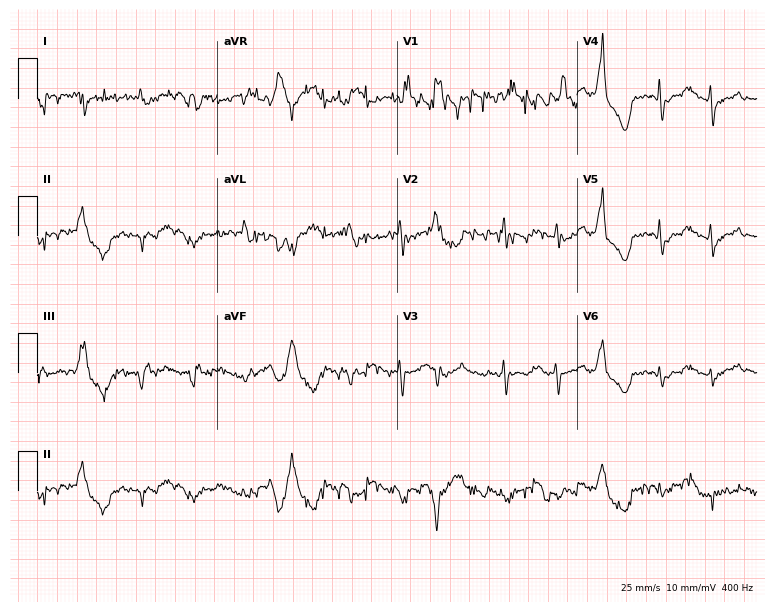
ECG (7.3-second recording at 400 Hz) — a female, 77 years old. Screened for six findings — first-degree AV block, right bundle branch block (RBBB), left bundle branch block (LBBB), sinus bradycardia, atrial fibrillation (AF), sinus tachycardia — none is recorded. Other findings, if any, are not listed.